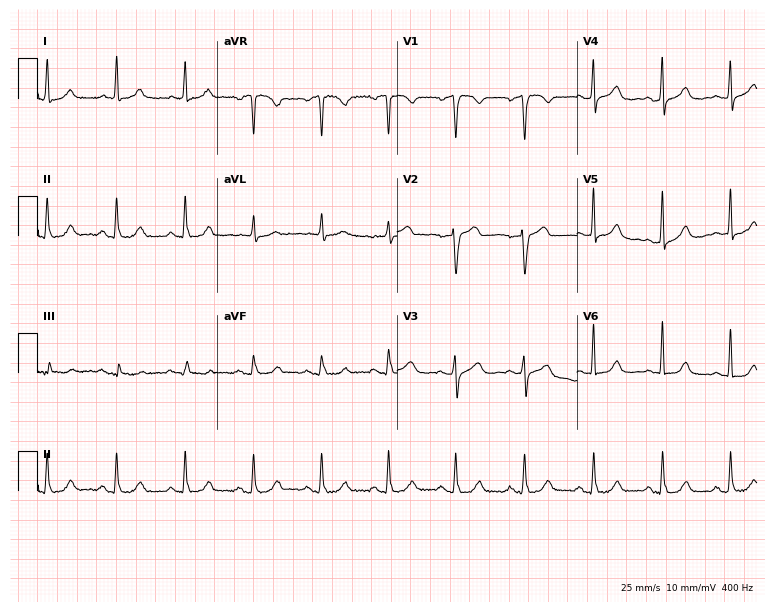
12-lead ECG from a woman, 55 years old. Labelled as a normal ECG.